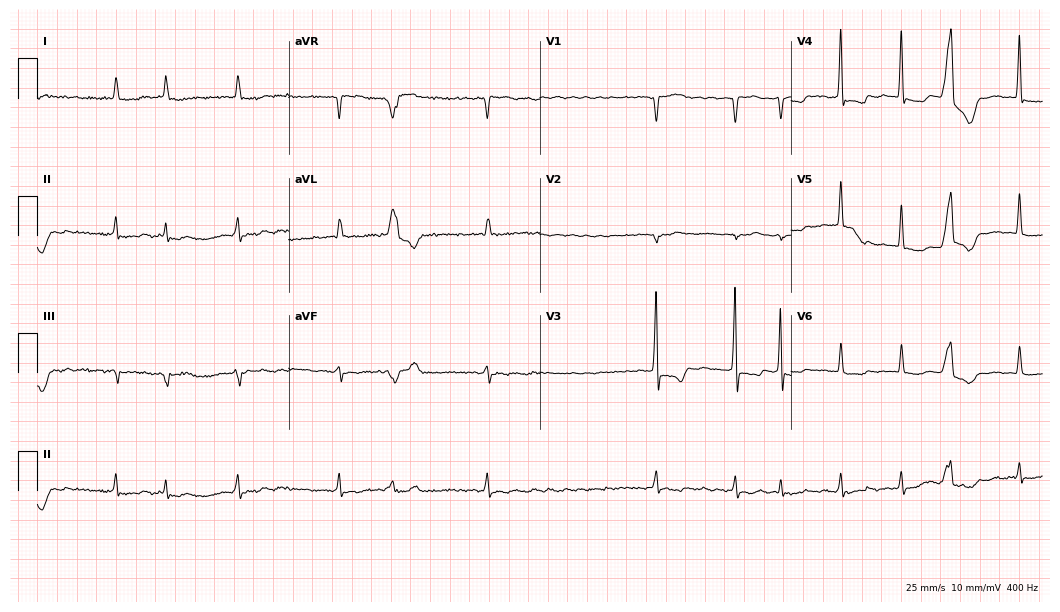
ECG — a man, 73 years old. Findings include atrial fibrillation (AF).